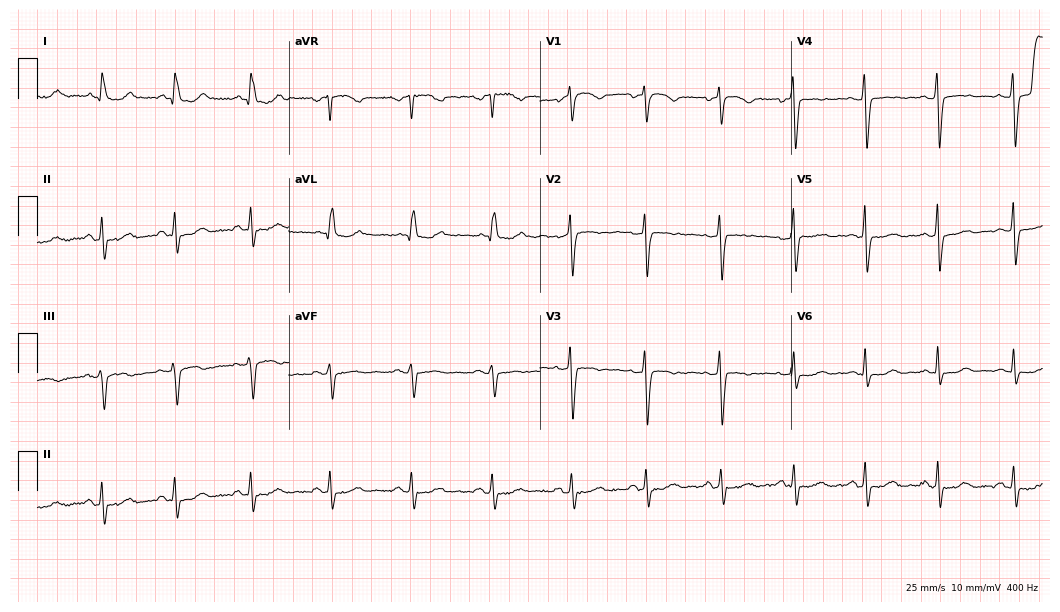
12-lead ECG (10.2-second recording at 400 Hz) from a 50-year-old female patient. Labelled as a normal ECG.